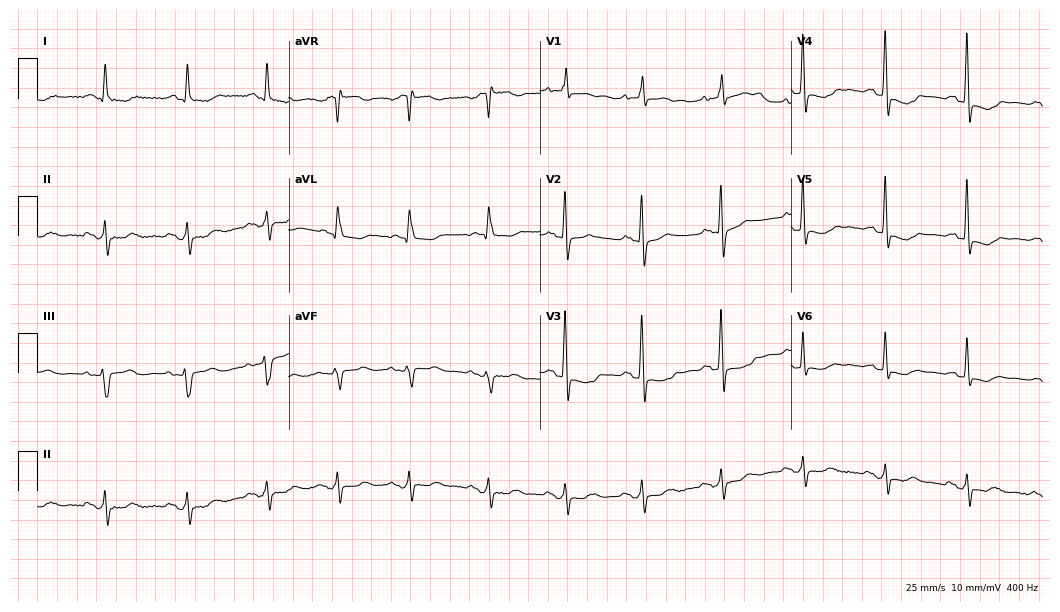
12-lead ECG from a 67-year-old woman (10.2-second recording at 400 Hz). No first-degree AV block, right bundle branch block, left bundle branch block, sinus bradycardia, atrial fibrillation or sinus tachycardia recorded for this tracing. Other findings, if any, are not listed.